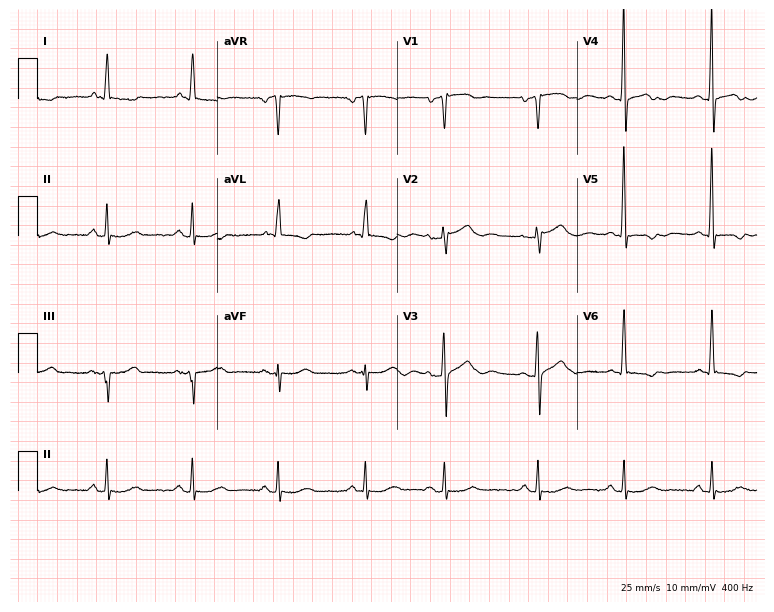
12-lead ECG (7.3-second recording at 400 Hz) from a 71-year-old woman. Screened for six findings — first-degree AV block, right bundle branch block (RBBB), left bundle branch block (LBBB), sinus bradycardia, atrial fibrillation (AF), sinus tachycardia — none is recorded.